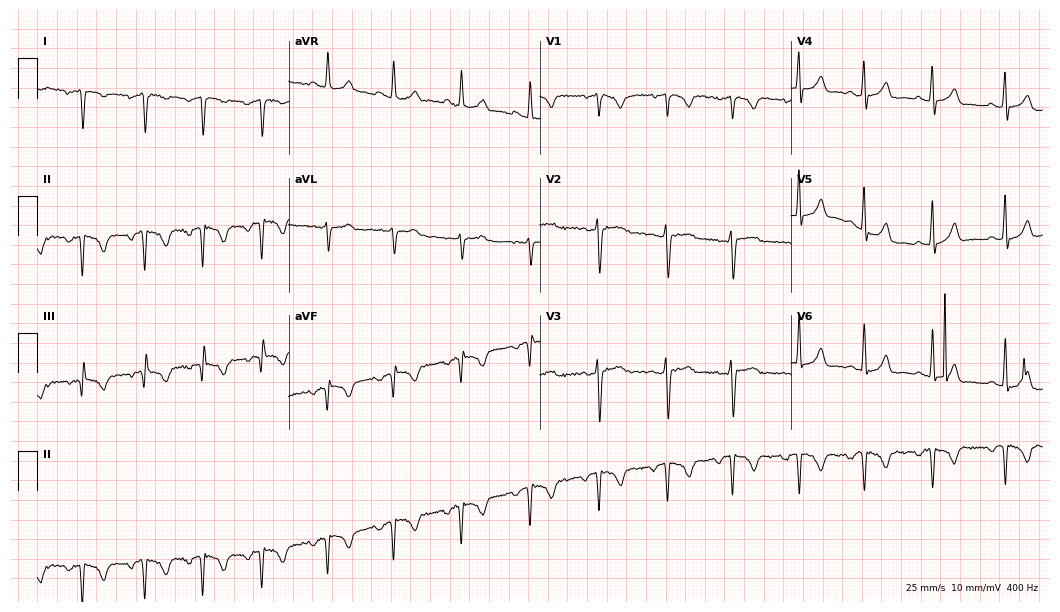
12-lead ECG from a 23-year-old female patient. Screened for six findings — first-degree AV block, right bundle branch block, left bundle branch block, sinus bradycardia, atrial fibrillation, sinus tachycardia — none is recorded.